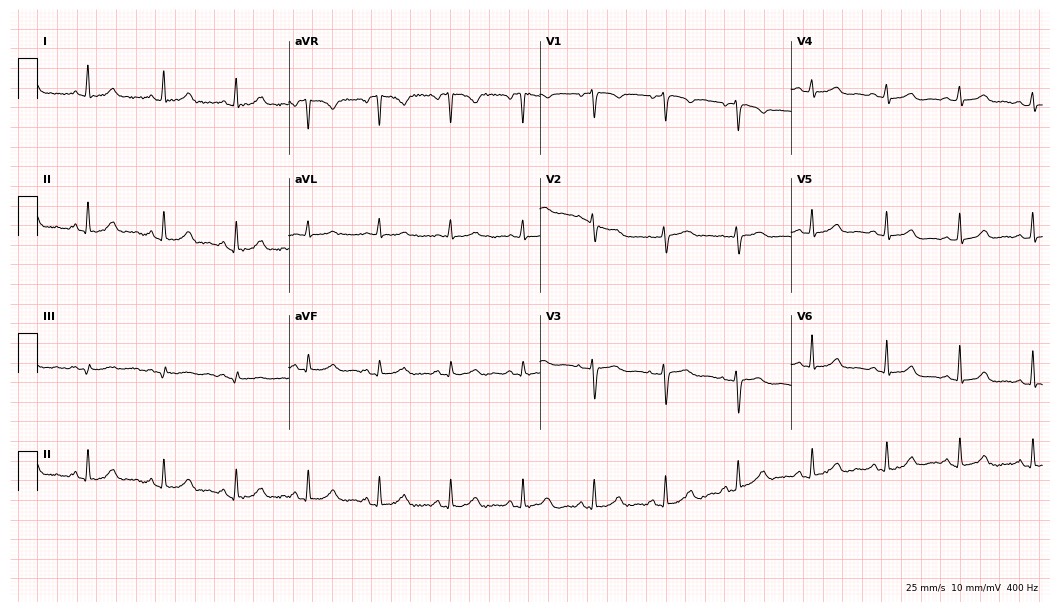
Electrocardiogram, a female, 42 years old. Overall reading on record: normal ECG.